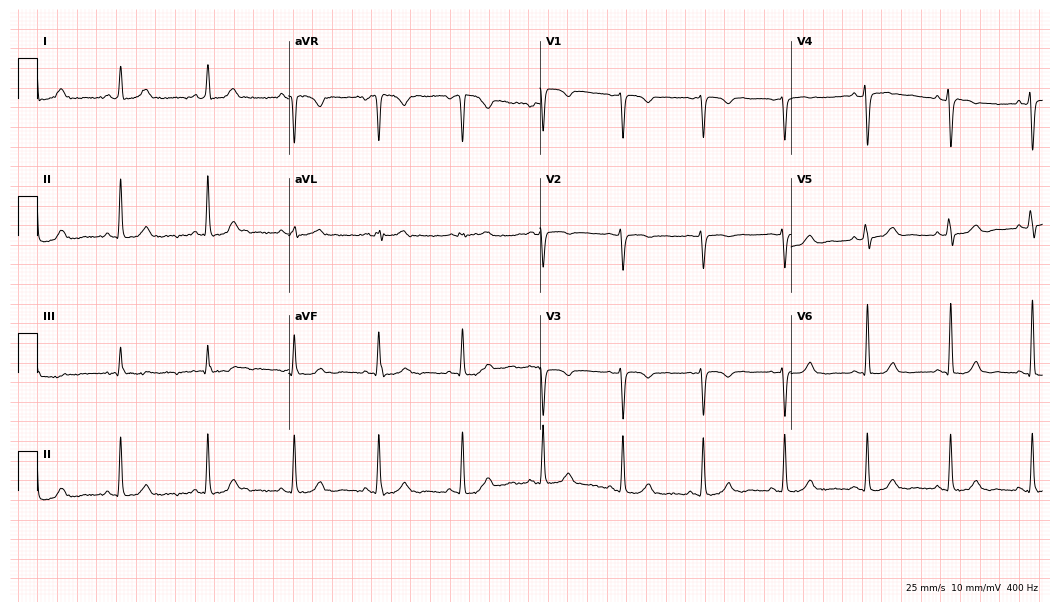
12-lead ECG from a 49-year-old female. No first-degree AV block, right bundle branch block, left bundle branch block, sinus bradycardia, atrial fibrillation or sinus tachycardia recorded for this tracing.